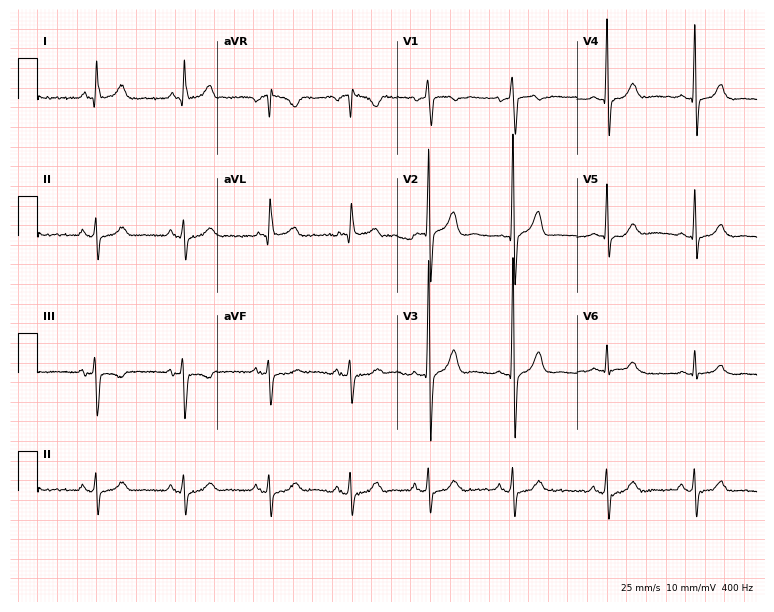
Standard 12-lead ECG recorded from a male, 66 years old (7.3-second recording at 400 Hz). Read as a normal ECG.